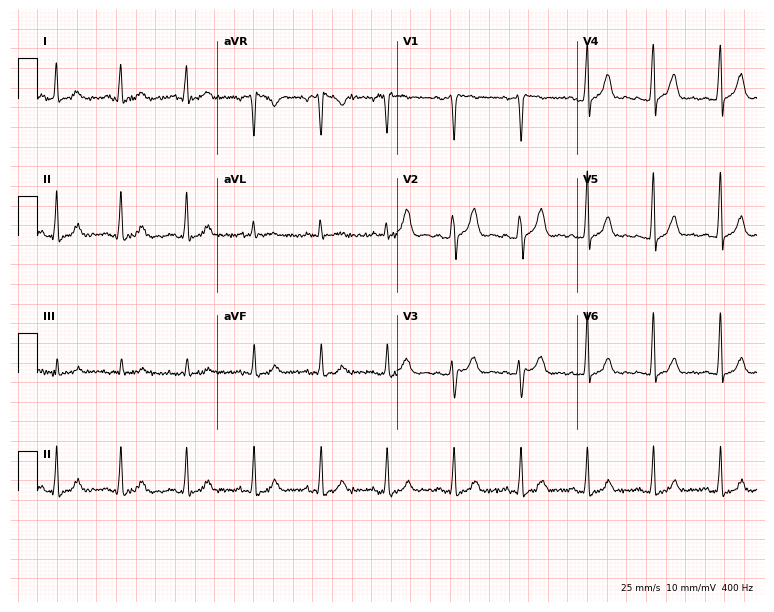
Resting 12-lead electrocardiogram (7.3-second recording at 400 Hz). Patient: a woman, 34 years old. Read as a normal ECG.